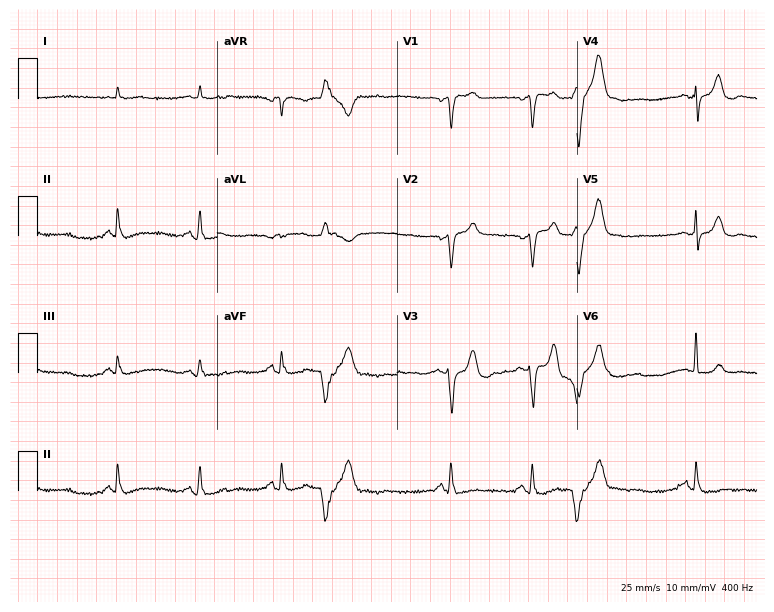
ECG (7.3-second recording at 400 Hz) — a male, 72 years old. Screened for six findings — first-degree AV block, right bundle branch block (RBBB), left bundle branch block (LBBB), sinus bradycardia, atrial fibrillation (AF), sinus tachycardia — none is recorded.